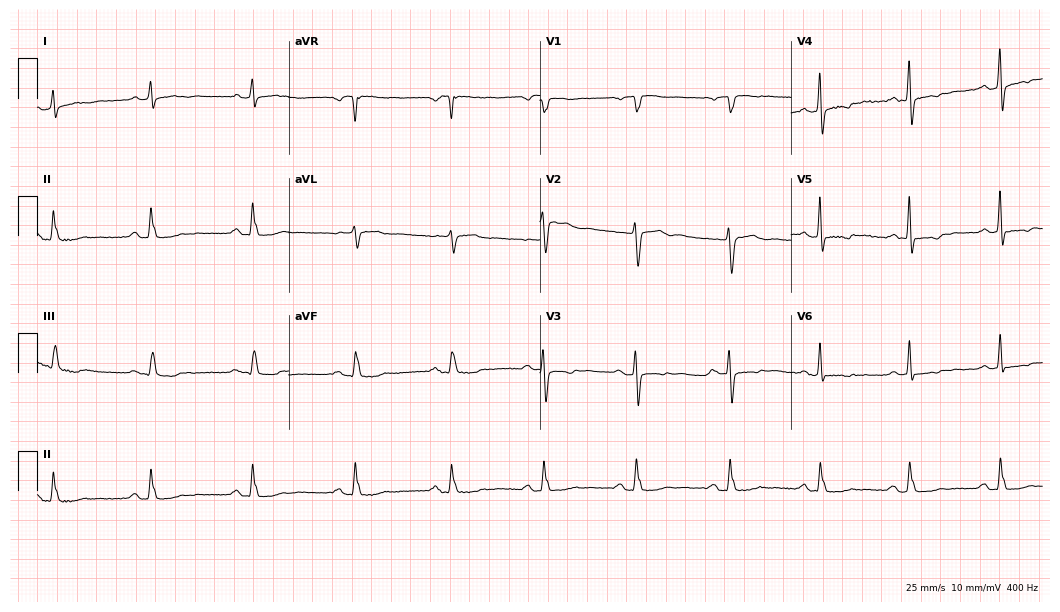
ECG — a male, 59 years old. Screened for six findings — first-degree AV block, right bundle branch block (RBBB), left bundle branch block (LBBB), sinus bradycardia, atrial fibrillation (AF), sinus tachycardia — none is recorded. Only these six findings were labelled.